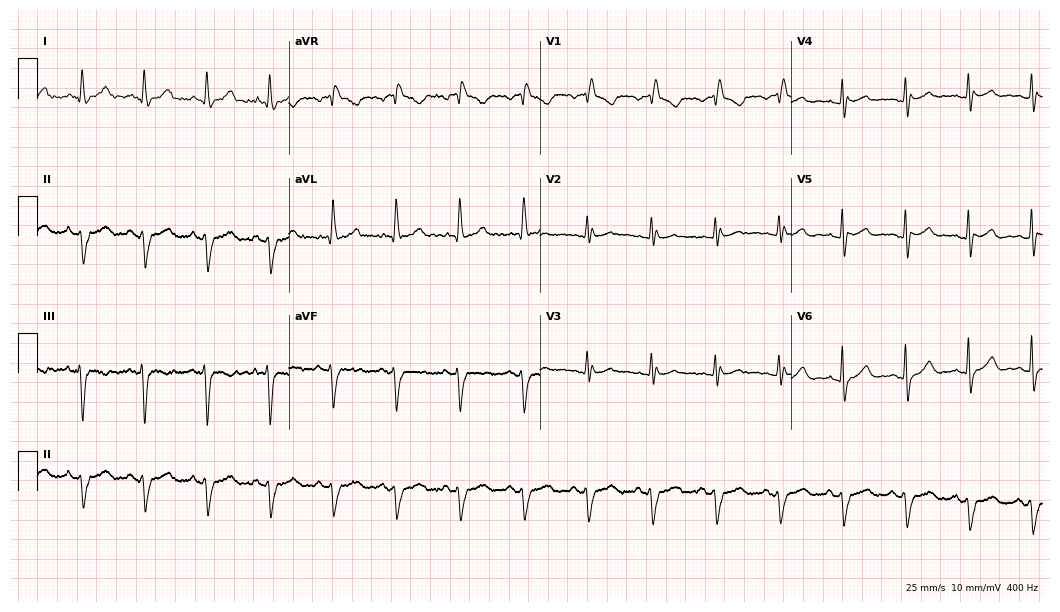
Standard 12-lead ECG recorded from a woman, 52 years old. The tracing shows right bundle branch block (RBBB).